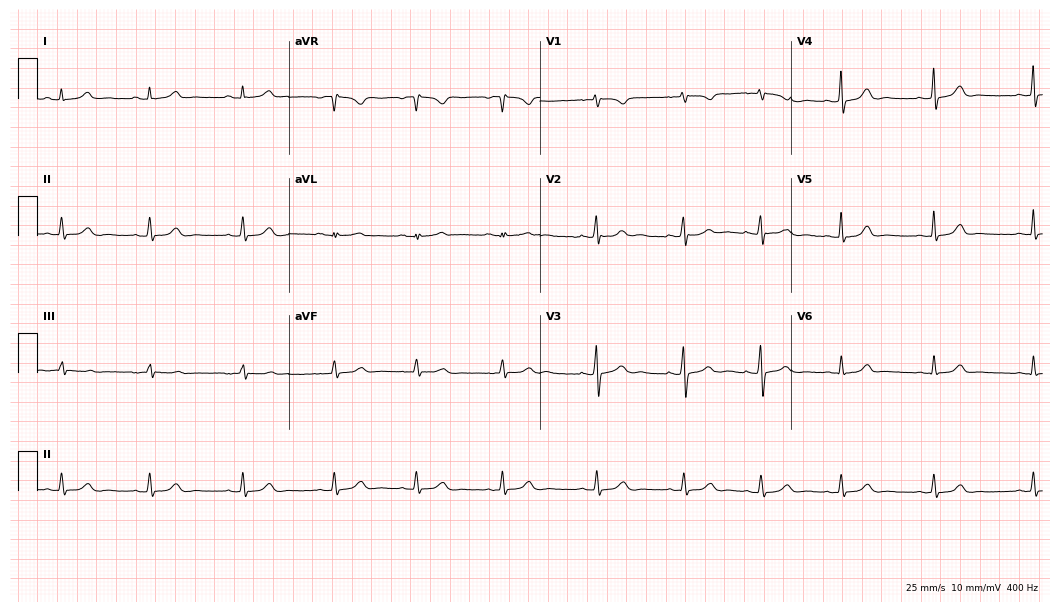
Resting 12-lead electrocardiogram (10.2-second recording at 400 Hz). Patient: a 22-year-old female. Read as a normal ECG.